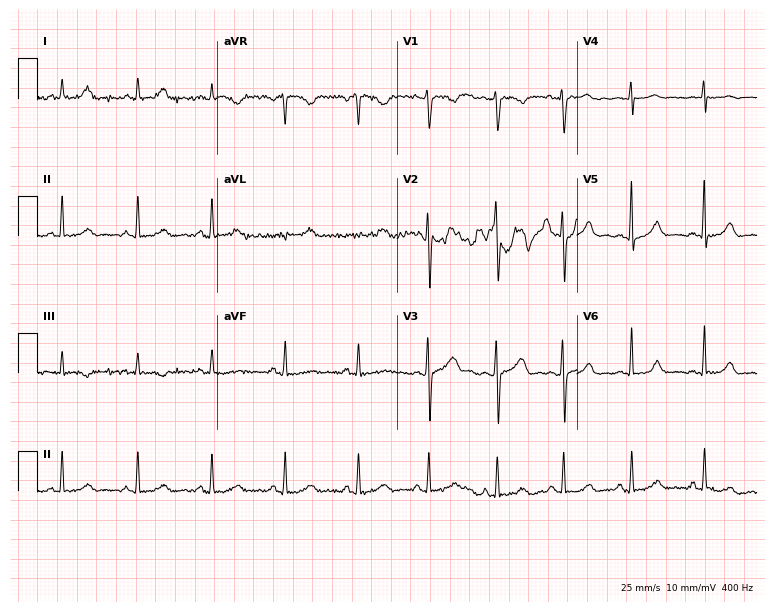
Electrocardiogram (7.3-second recording at 400 Hz), a female patient, 32 years old. Overall reading on record: normal ECG.